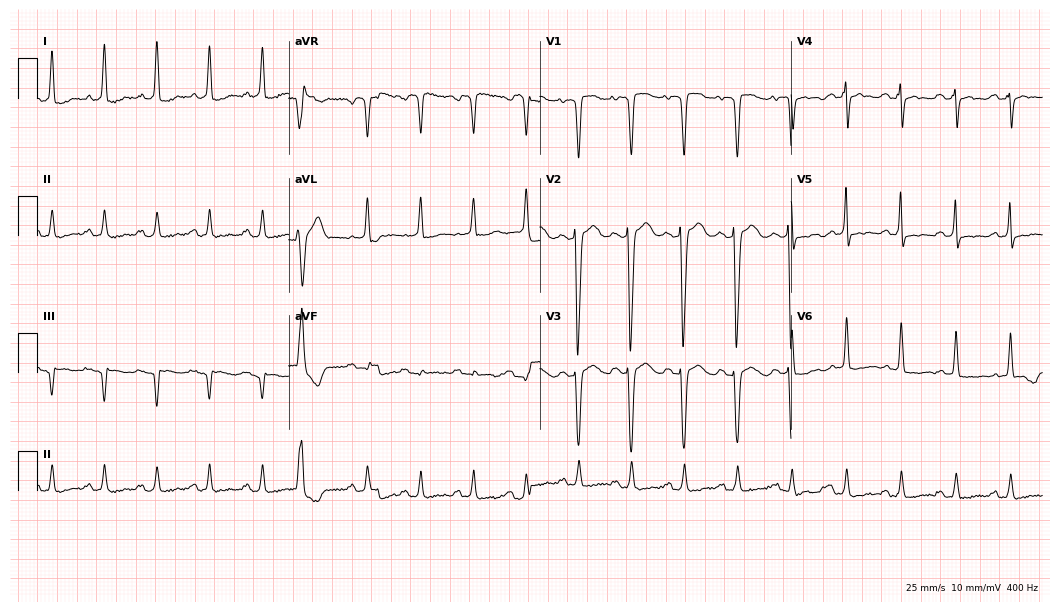
Resting 12-lead electrocardiogram (10.2-second recording at 400 Hz). Patient: a 45-year-old female. The tracing shows sinus tachycardia (a sinus rate of 100 beats per minute or more).